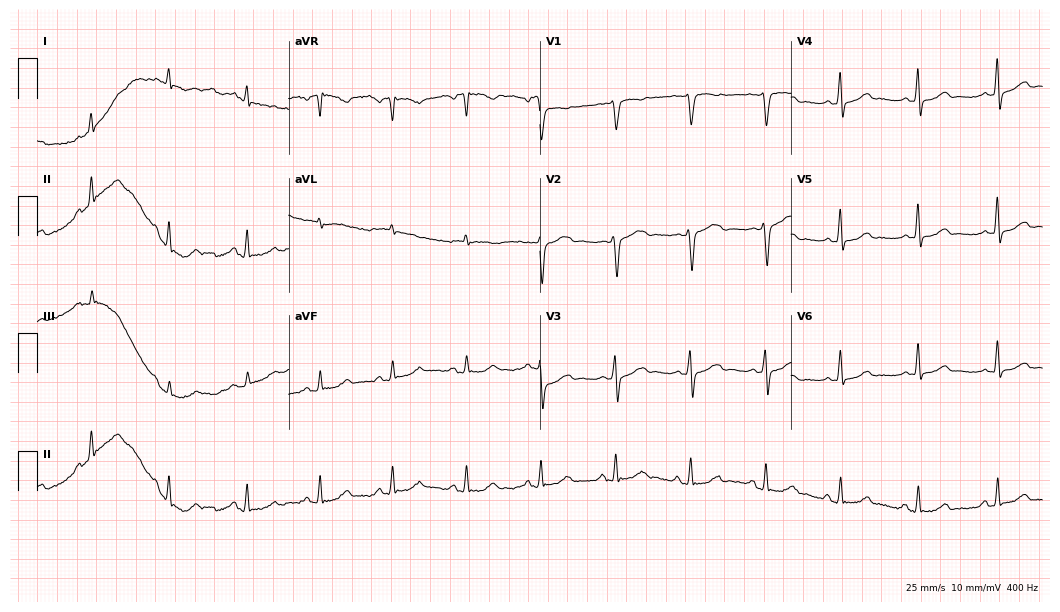
Resting 12-lead electrocardiogram. Patient: a 54-year-old woman. Read as a normal ECG.